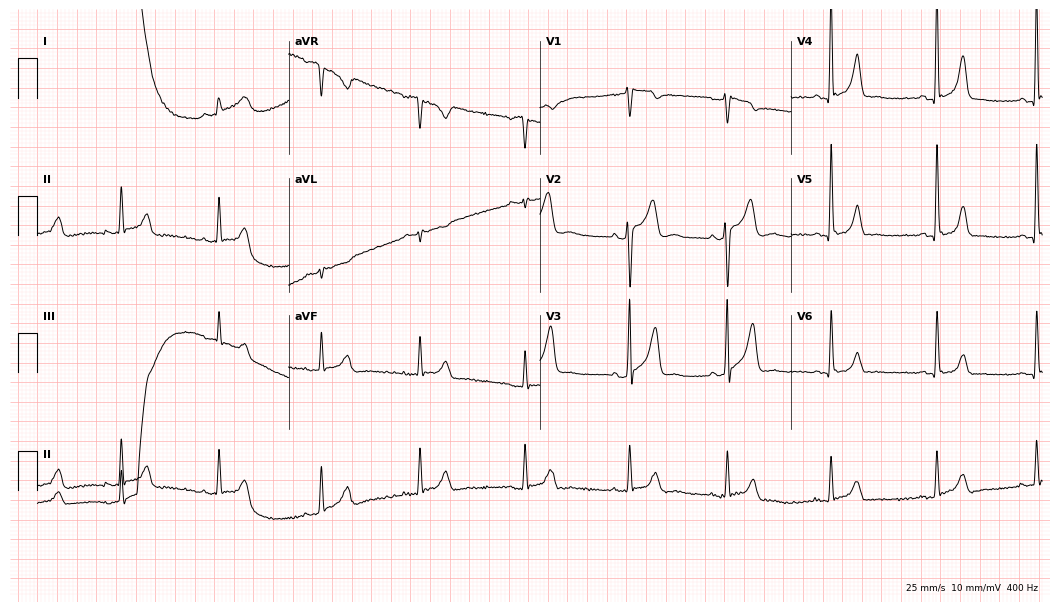
ECG — a 29-year-old man. Labelled as a normal ECG.